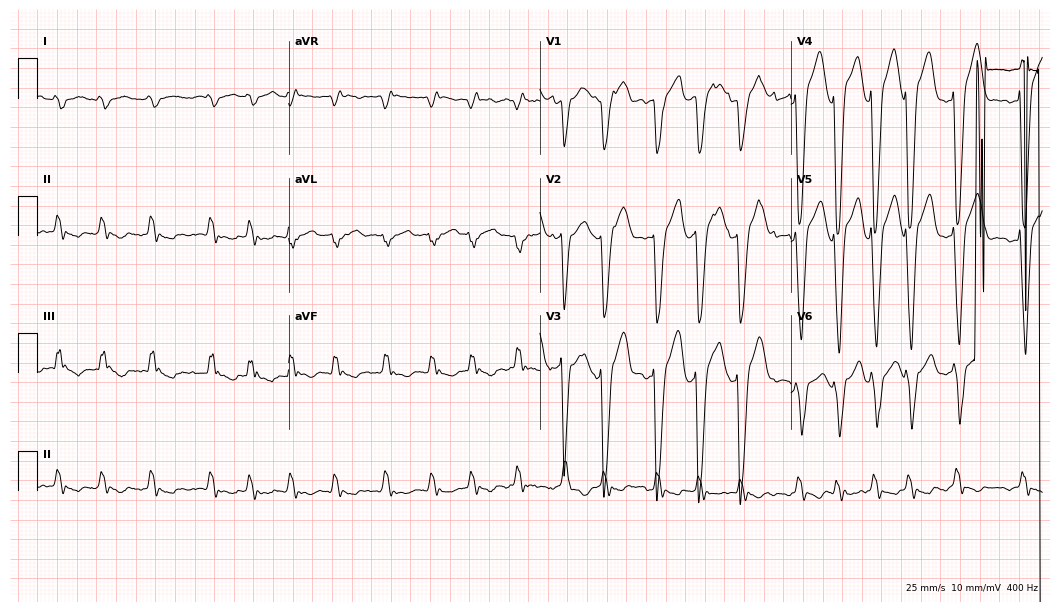
Electrocardiogram, a man, 67 years old. Interpretation includes left bundle branch block, atrial fibrillation.